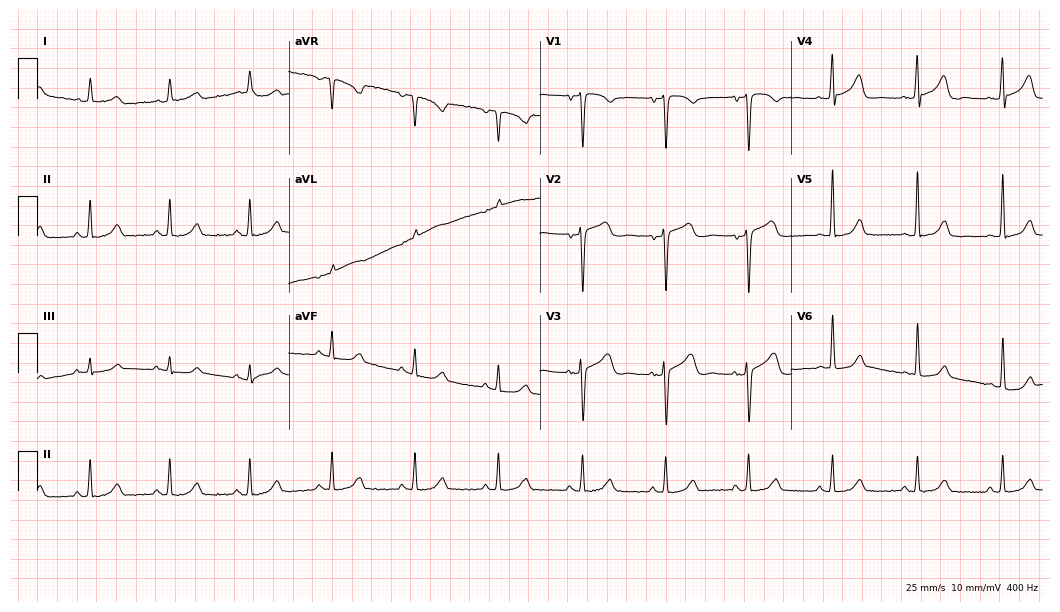
ECG — a male, 63 years old. Labelled as a normal ECG.